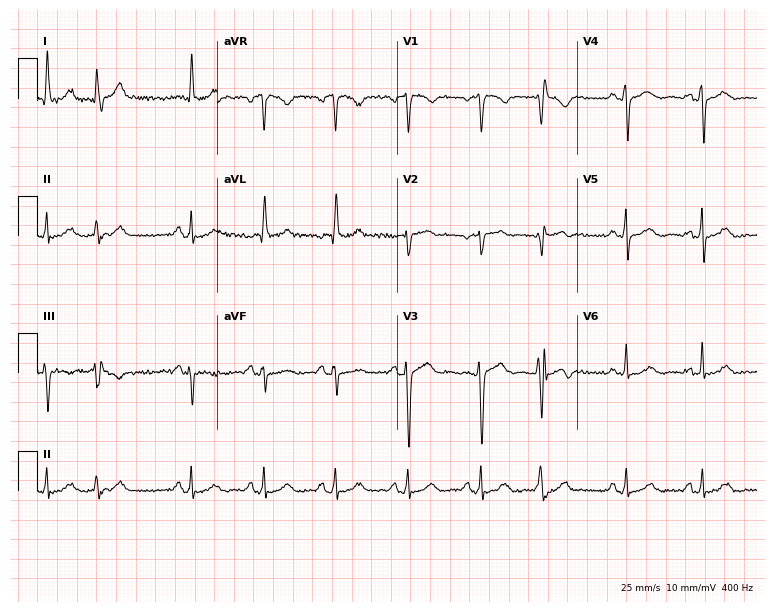
Standard 12-lead ECG recorded from a 69-year-old female patient. None of these six findings is recorded: first-degree AV block, right bundle branch block (RBBB), left bundle branch block (LBBB), sinus bradycardia, atrial fibrillation (AF), sinus tachycardia. Findings outside these six are not listed.